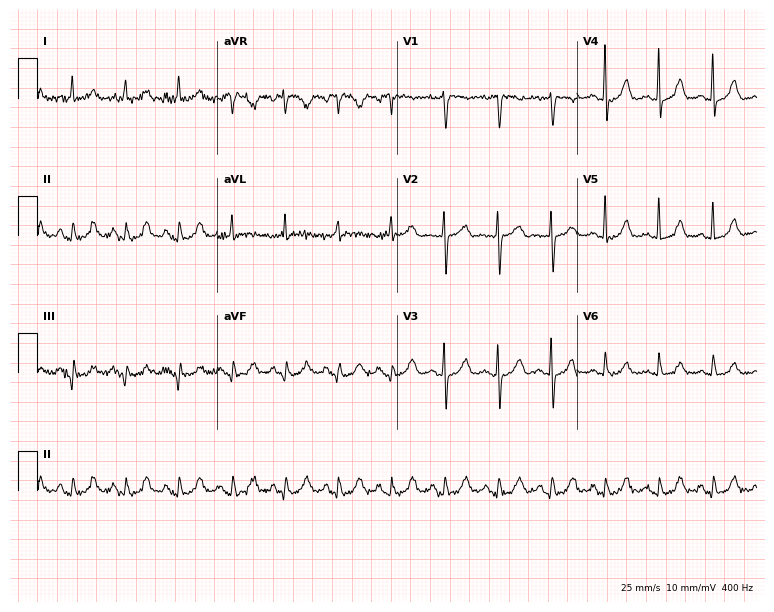
Electrocardiogram (7.3-second recording at 400 Hz), a 69-year-old woman. Interpretation includes sinus tachycardia (a sinus rate of 100 beats per minute or more).